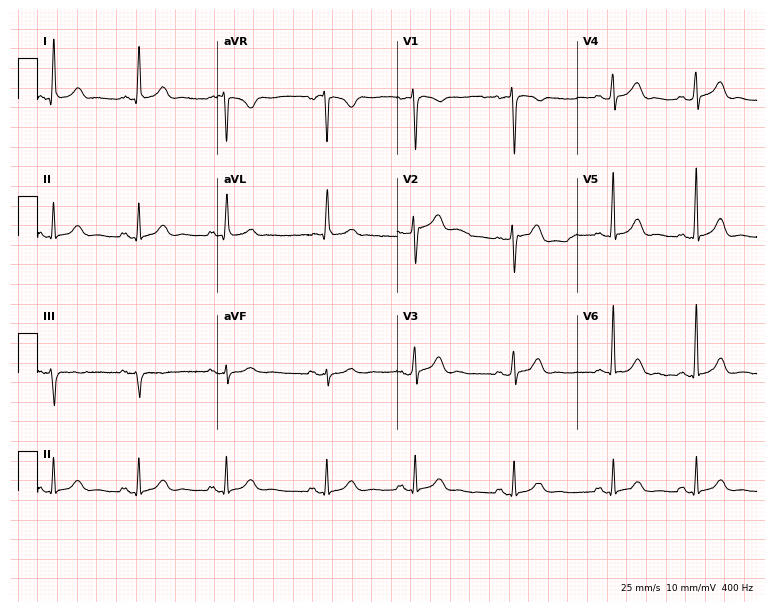
ECG — a female, 42 years old. Labelled as a normal ECG.